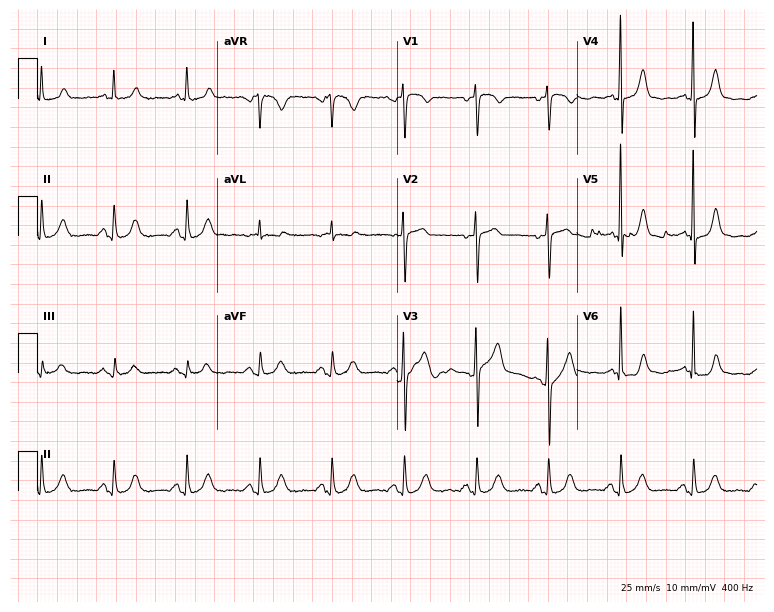
Resting 12-lead electrocardiogram. Patient: an 82-year-old female. None of these six findings is recorded: first-degree AV block, right bundle branch block, left bundle branch block, sinus bradycardia, atrial fibrillation, sinus tachycardia.